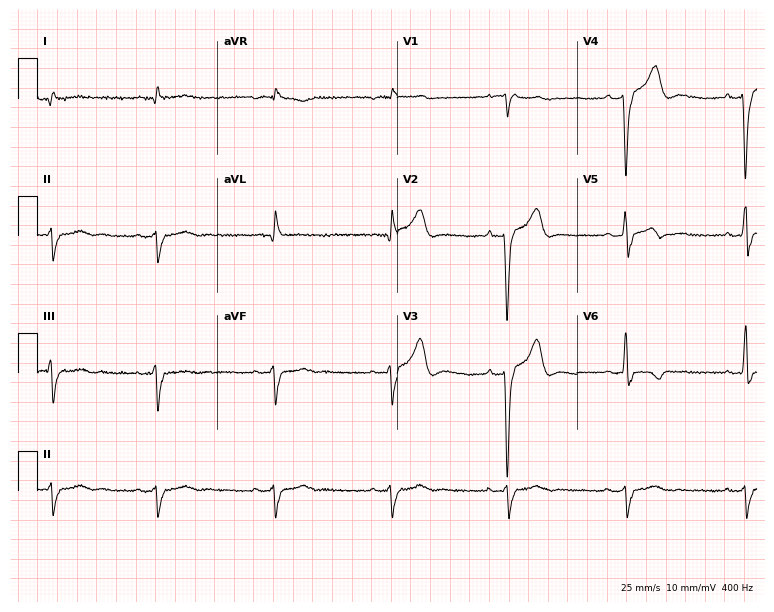
12-lead ECG from a male patient, 52 years old. Findings include right bundle branch block, sinus bradycardia (a sinus rate of 50 beats per minute or less).